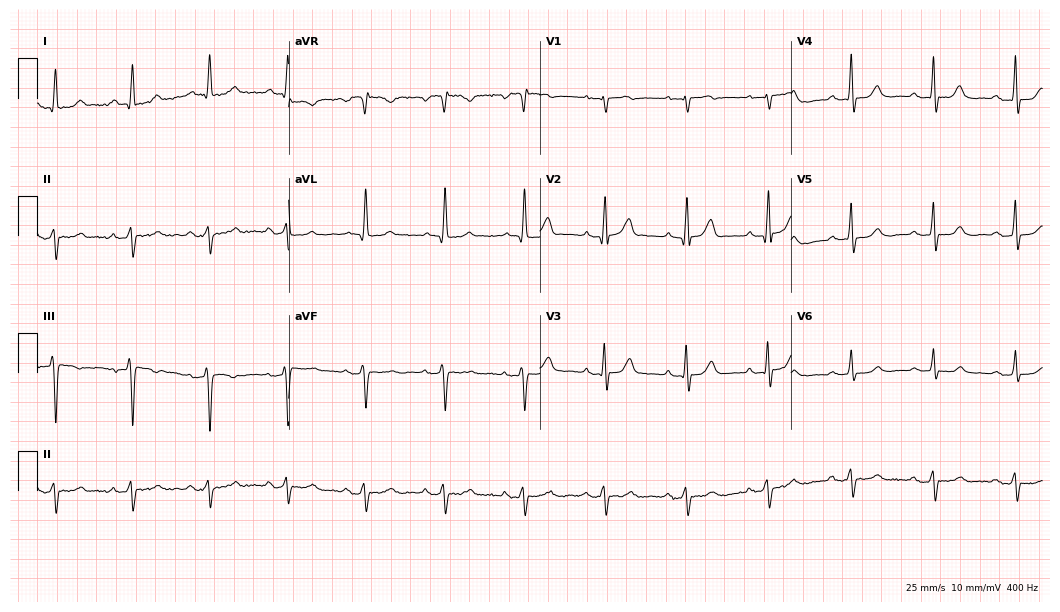
12-lead ECG (10.2-second recording at 400 Hz) from a female patient, 83 years old. Screened for six findings — first-degree AV block, right bundle branch block, left bundle branch block, sinus bradycardia, atrial fibrillation, sinus tachycardia — none is recorded. Only these six findings were labelled.